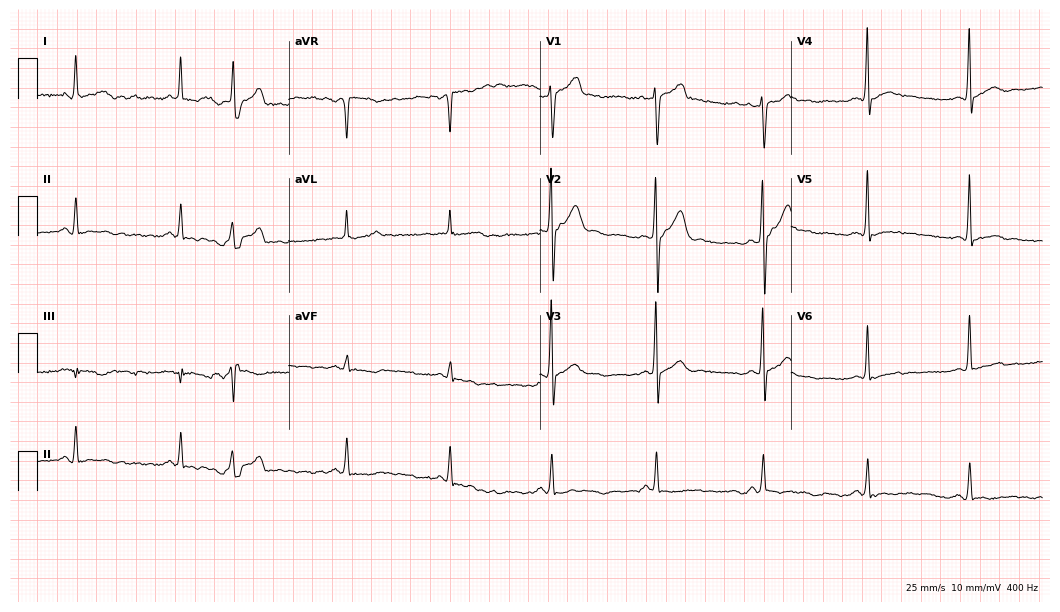
Electrocardiogram (10.2-second recording at 400 Hz), a 47-year-old male. Of the six screened findings (first-degree AV block, right bundle branch block, left bundle branch block, sinus bradycardia, atrial fibrillation, sinus tachycardia), none is recorded.